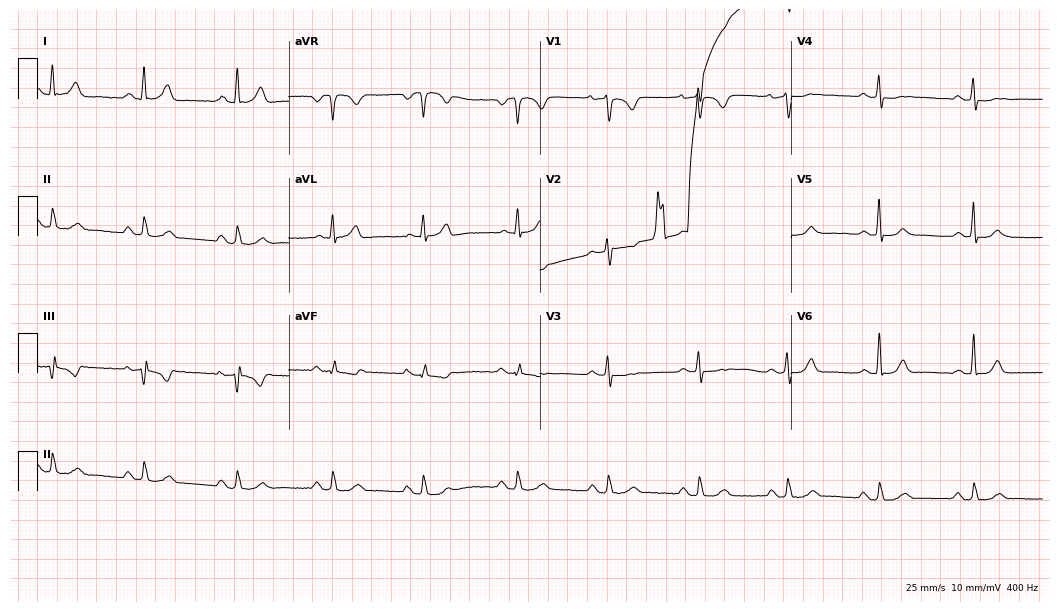
ECG — a 56-year-old male patient. Screened for six findings — first-degree AV block, right bundle branch block, left bundle branch block, sinus bradycardia, atrial fibrillation, sinus tachycardia — none is recorded.